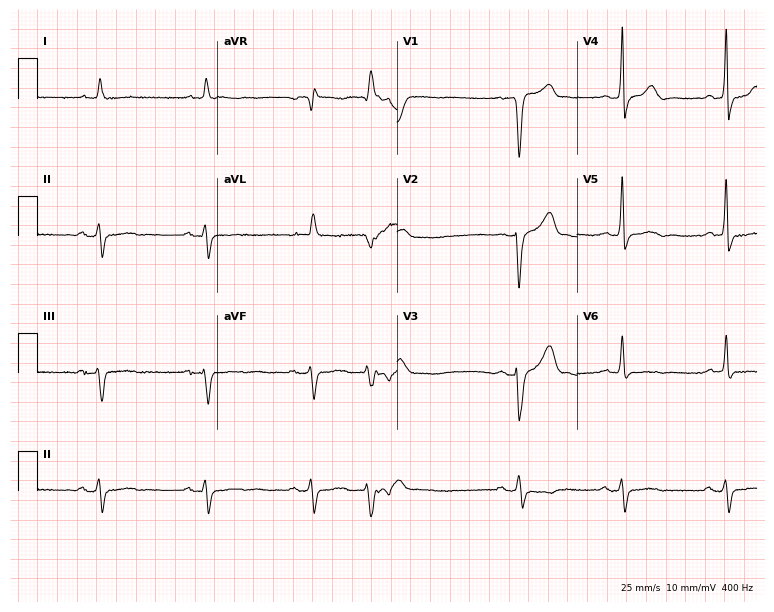
12-lead ECG (7.3-second recording at 400 Hz) from a male patient, 82 years old. Findings include right bundle branch block.